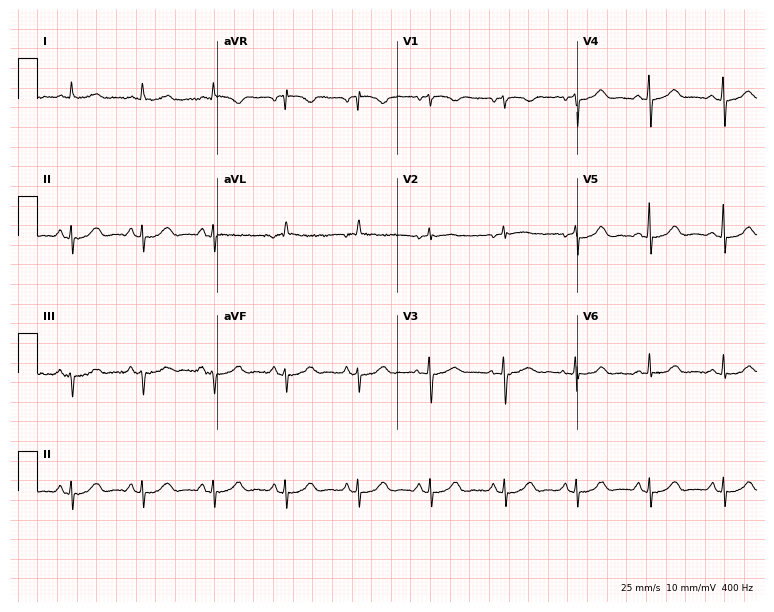
Resting 12-lead electrocardiogram (7.3-second recording at 400 Hz). Patient: a 64-year-old female. None of these six findings is recorded: first-degree AV block, right bundle branch block, left bundle branch block, sinus bradycardia, atrial fibrillation, sinus tachycardia. Only these six findings were labelled.